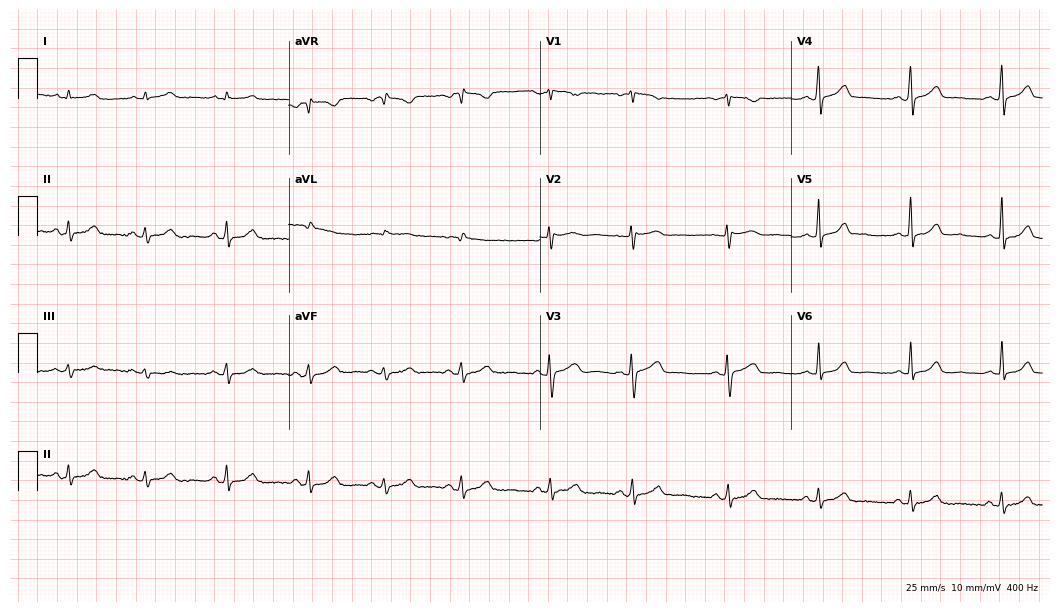
12-lead ECG from a female, 37 years old. Labelled as a normal ECG.